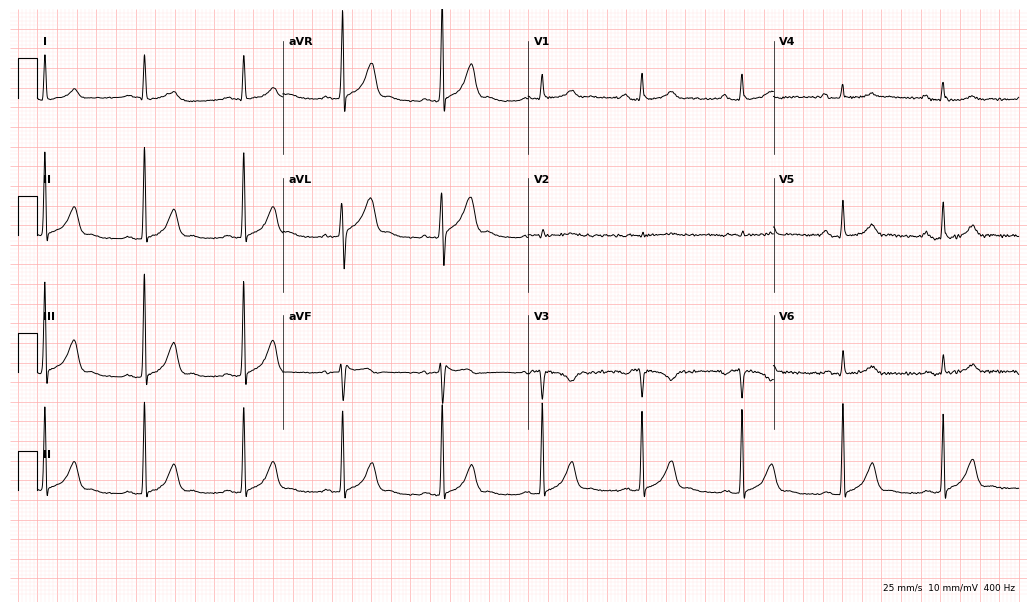
12-lead ECG (10-second recording at 400 Hz) from a 77-year-old man. Screened for six findings — first-degree AV block, right bundle branch block (RBBB), left bundle branch block (LBBB), sinus bradycardia, atrial fibrillation (AF), sinus tachycardia — none is recorded.